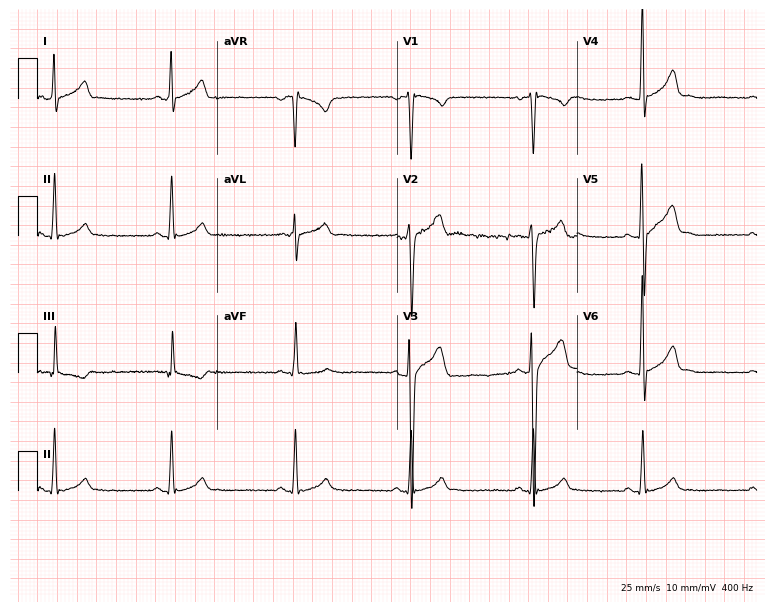
Standard 12-lead ECG recorded from a male patient, 30 years old. Read as a normal ECG.